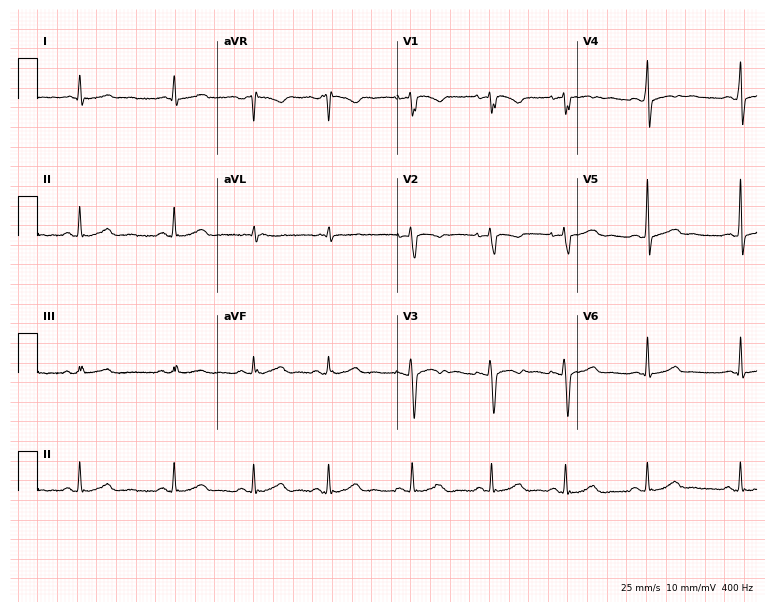
12-lead ECG from a 28-year-old woman. Recorded interpretation: within normal limits.